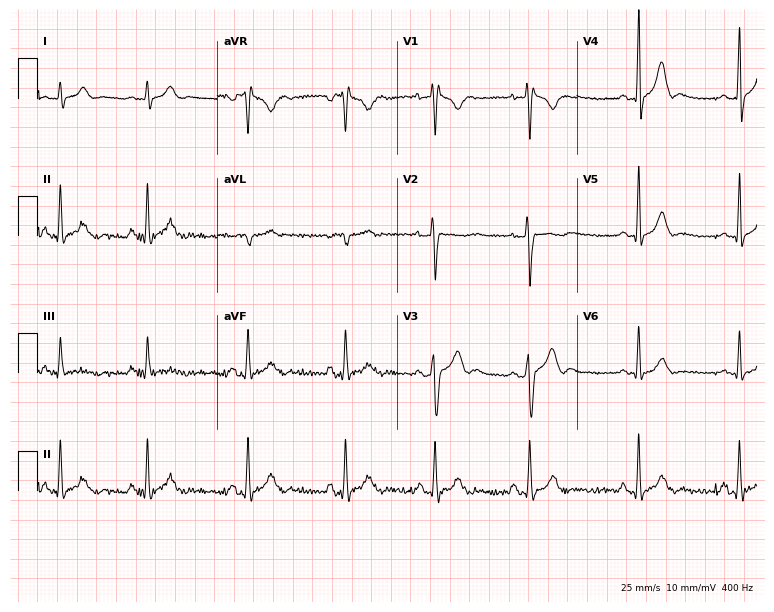
ECG — a male, 27 years old. Screened for six findings — first-degree AV block, right bundle branch block, left bundle branch block, sinus bradycardia, atrial fibrillation, sinus tachycardia — none is recorded. Findings outside these six are not listed.